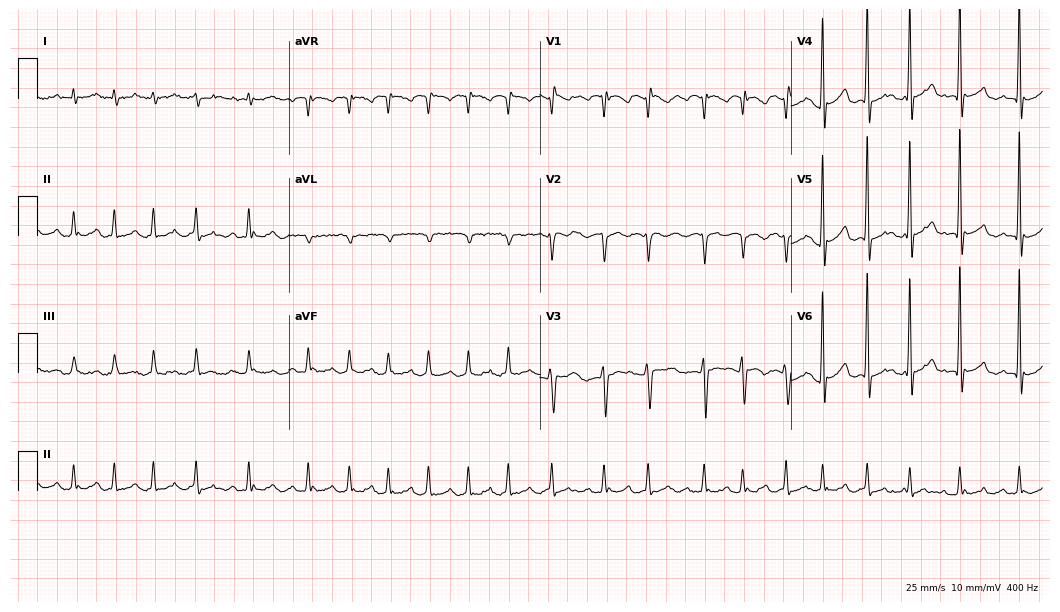
Electrocardiogram (10.2-second recording at 400 Hz), a 75-year-old man. Interpretation includes atrial fibrillation (AF), sinus tachycardia (a sinus rate of 100 beats per minute or more).